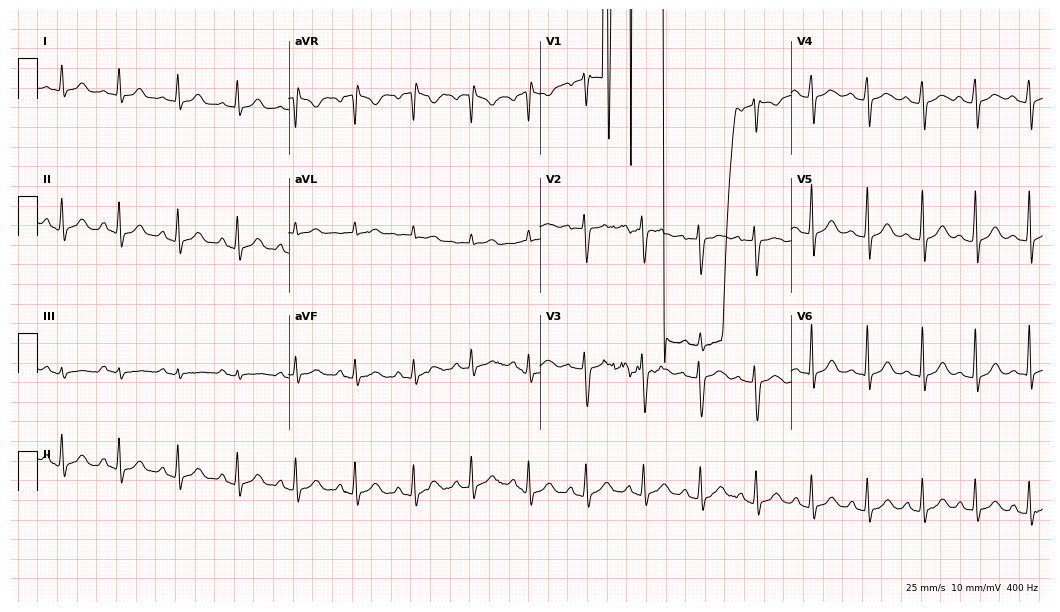
Electrocardiogram, a female, 20 years old. Of the six screened findings (first-degree AV block, right bundle branch block, left bundle branch block, sinus bradycardia, atrial fibrillation, sinus tachycardia), none is recorded.